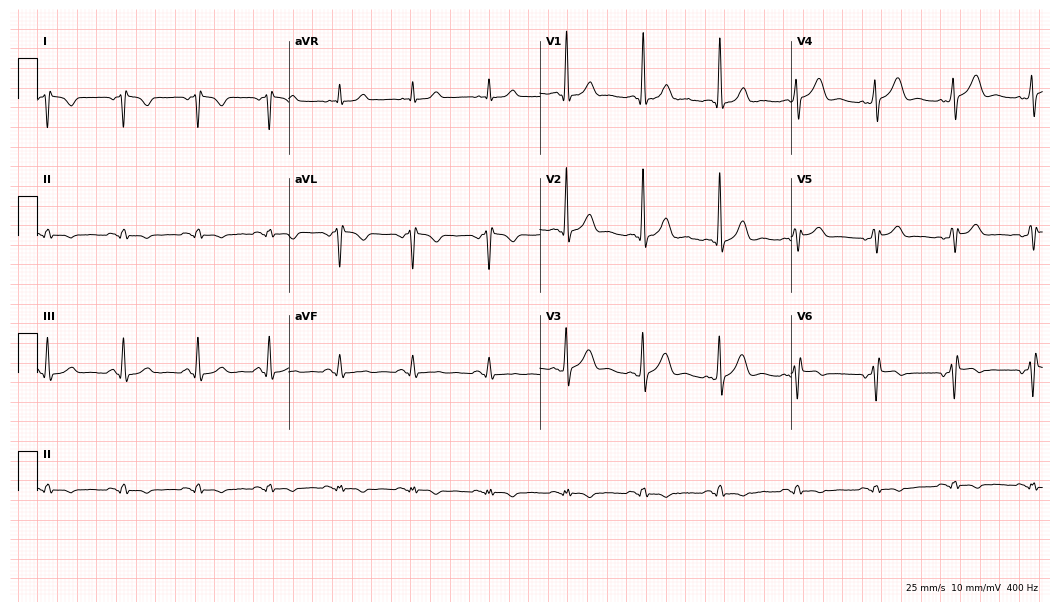
ECG — a male patient, 48 years old. Screened for six findings — first-degree AV block, right bundle branch block (RBBB), left bundle branch block (LBBB), sinus bradycardia, atrial fibrillation (AF), sinus tachycardia — none is recorded.